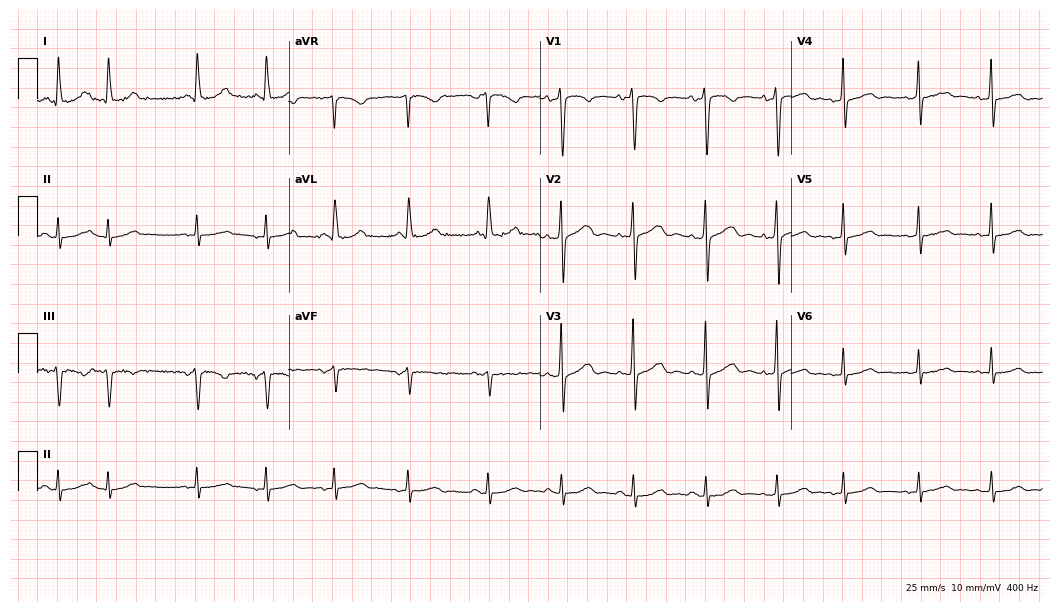
ECG — a female, 69 years old. Screened for six findings — first-degree AV block, right bundle branch block (RBBB), left bundle branch block (LBBB), sinus bradycardia, atrial fibrillation (AF), sinus tachycardia — none is recorded. Other findings, if any, are not listed.